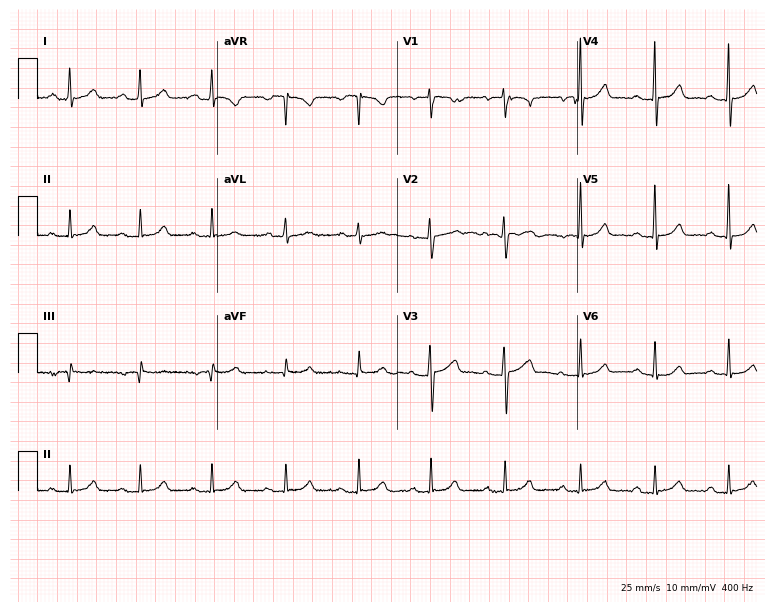
Resting 12-lead electrocardiogram (7.3-second recording at 400 Hz). Patient: a 41-year-old female. Read as a normal ECG.